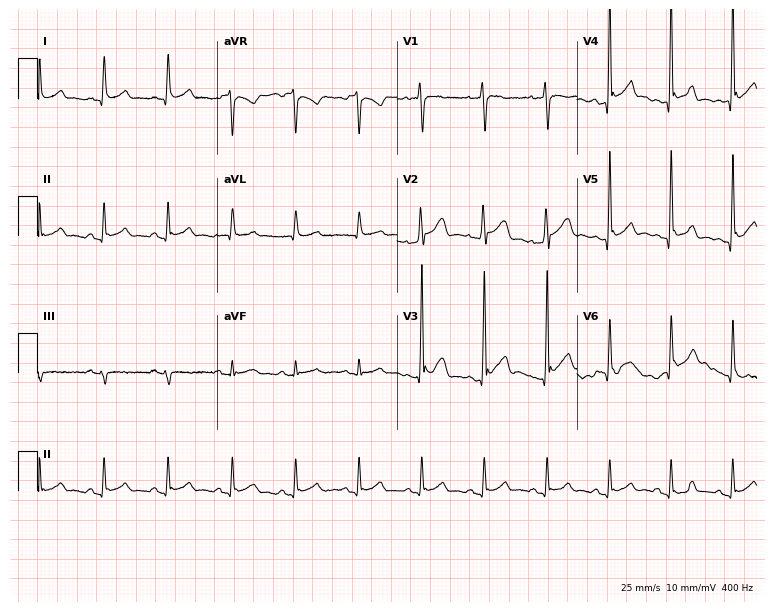
Standard 12-lead ECG recorded from a man, 28 years old. Read as a normal ECG.